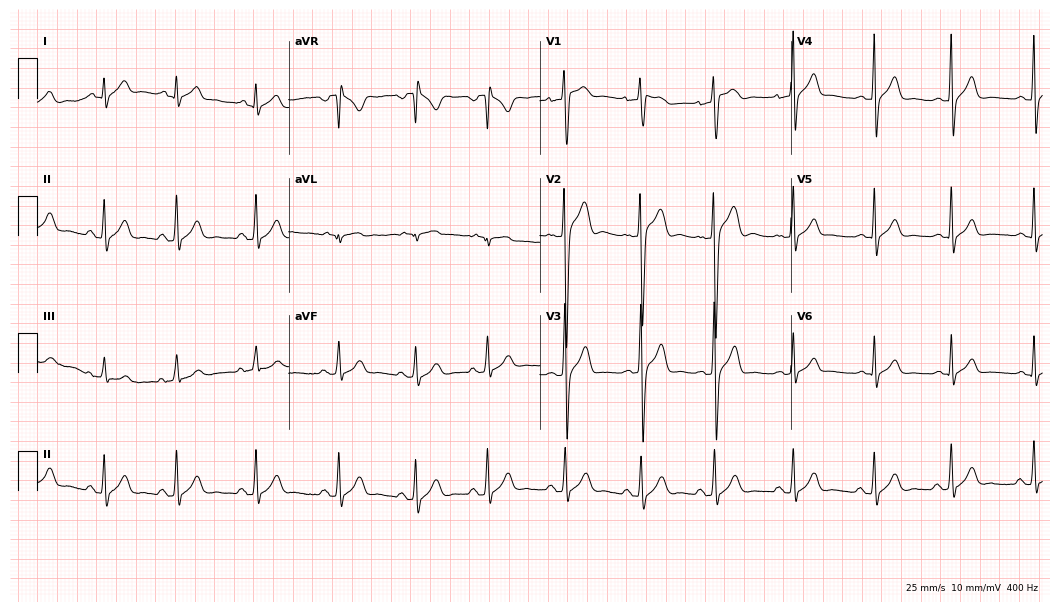
Standard 12-lead ECG recorded from a 21-year-old male patient. None of these six findings is recorded: first-degree AV block, right bundle branch block (RBBB), left bundle branch block (LBBB), sinus bradycardia, atrial fibrillation (AF), sinus tachycardia.